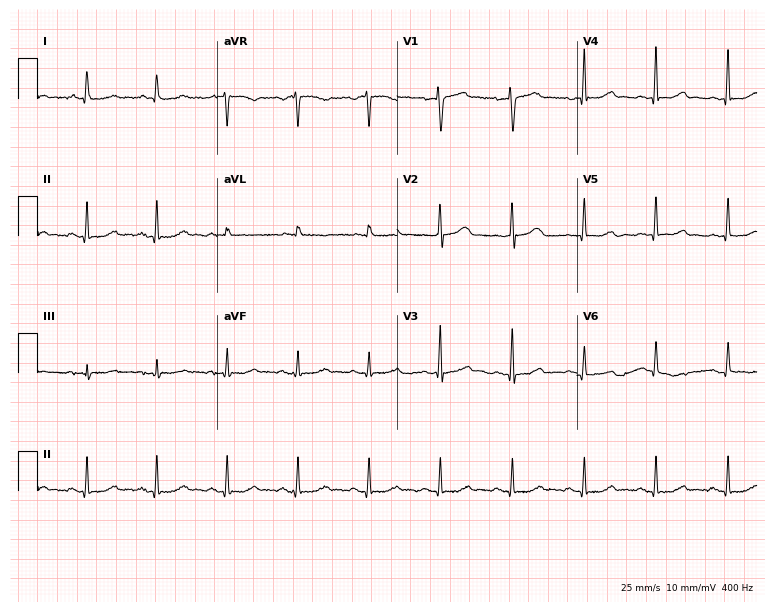
Electrocardiogram, an 81-year-old female. Of the six screened findings (first-degree AV block, right bundle branch block, left bundle branch block, sinus bradycardia, atrial fibrillation, sinus tachycardia), none is recorded.